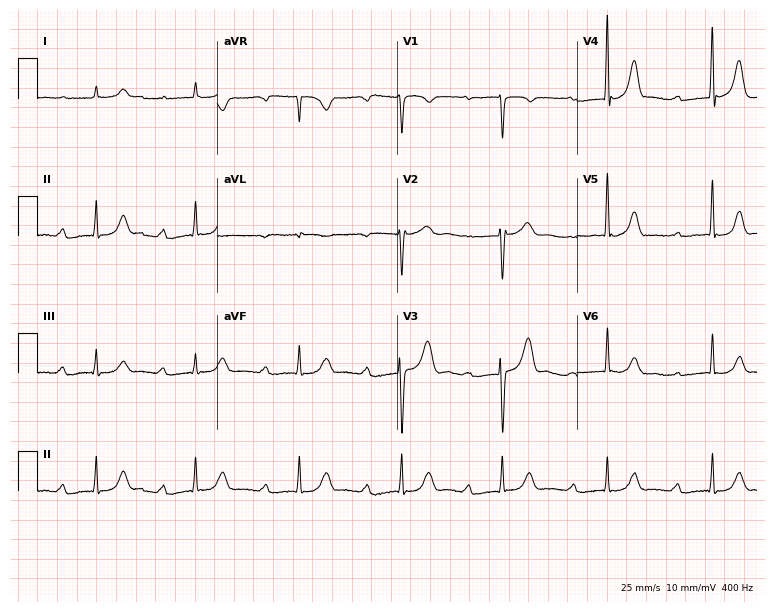
Electrocardiogram (7.3-second recording at 400 Hz), a male, 76 years old. Interpretation includes first-degree AV block.